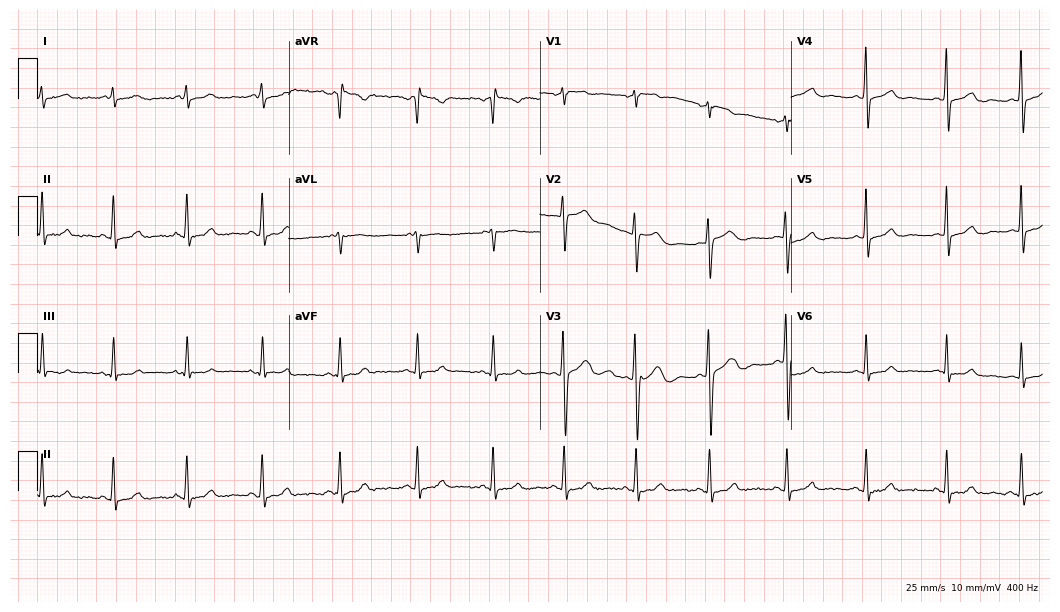
Electrocardiogram (10.2-second recording at 400 Hz), a 41-year-old male patient. Overall reading on record: normal ECG.